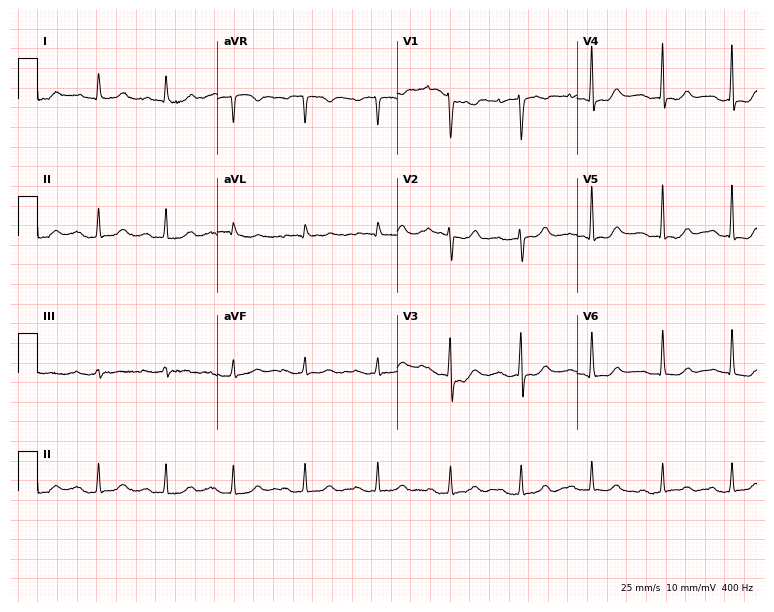
12-lead ECG from a female patient, 77 years old. Screened for six findings — first-degree AV block, right bundle branch block, left bundle branch block, sinus bradycardia, atrial fibrillation, sinus tachycardia — none is recorded.